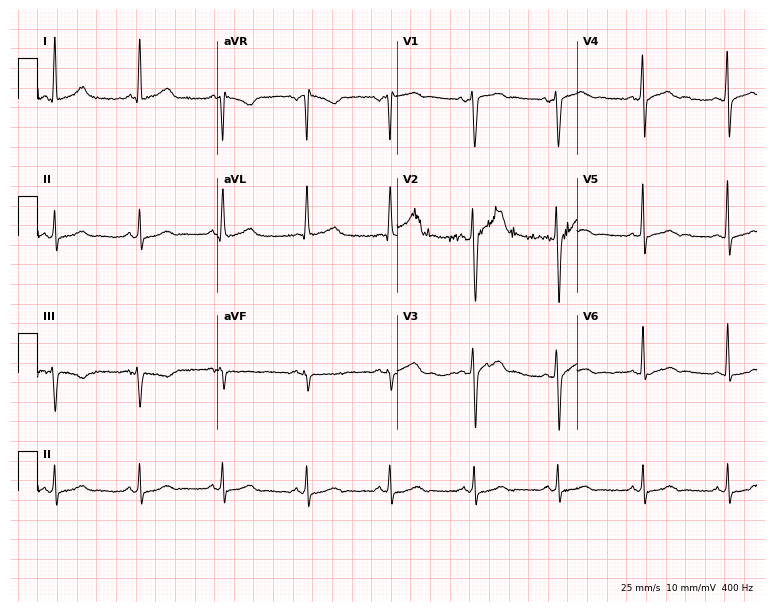
12-lead ECG from a 41-year-old male patient (7.3-second recording at 400 Hz). Recorded interpretation: within normal limits.